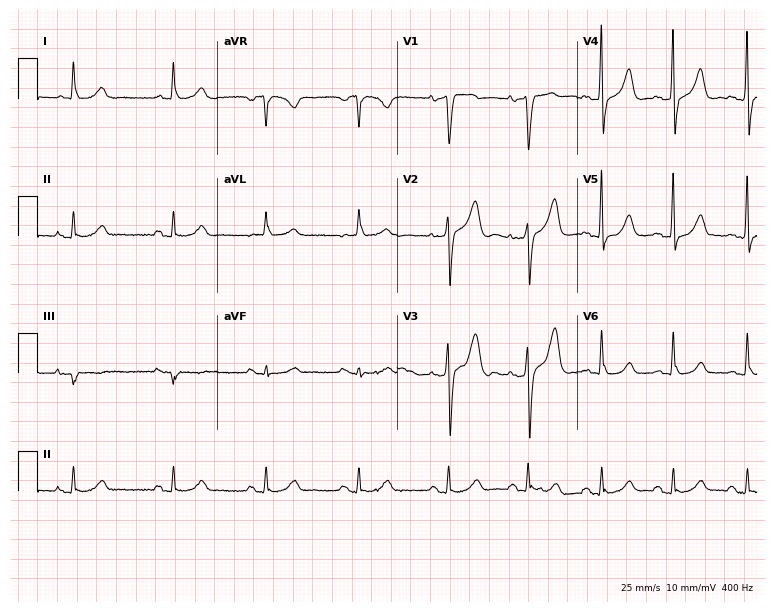
12-lead ECG from a male patient, 71 years old. Recorded interpretation: within normal limits.